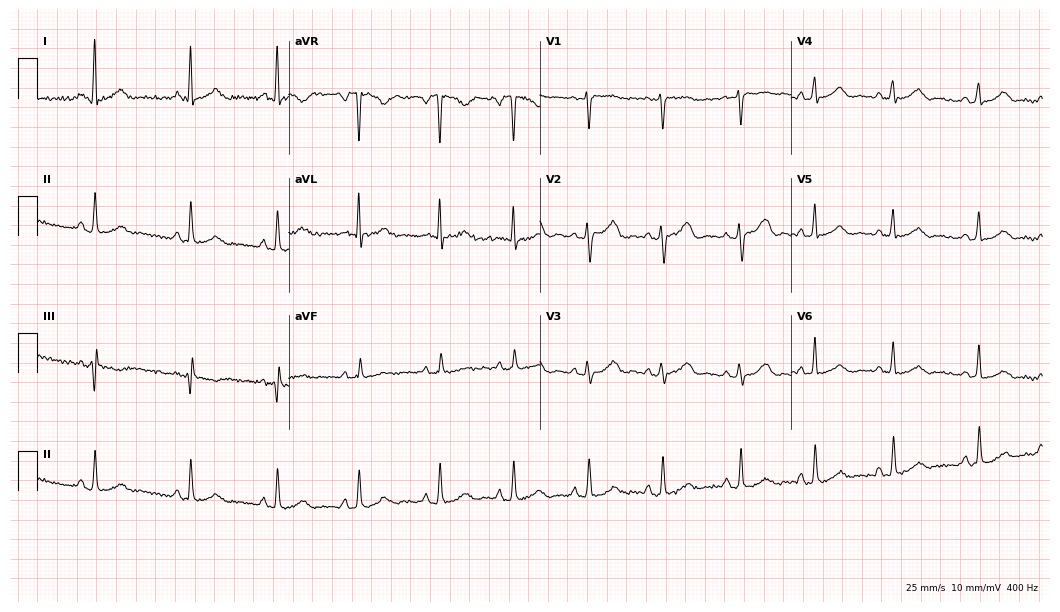
Resting 12-lead electrocardiogram (10.2-second recording at 400 Hz). Patient: a 49-year-old female. Read as a normal ECG.